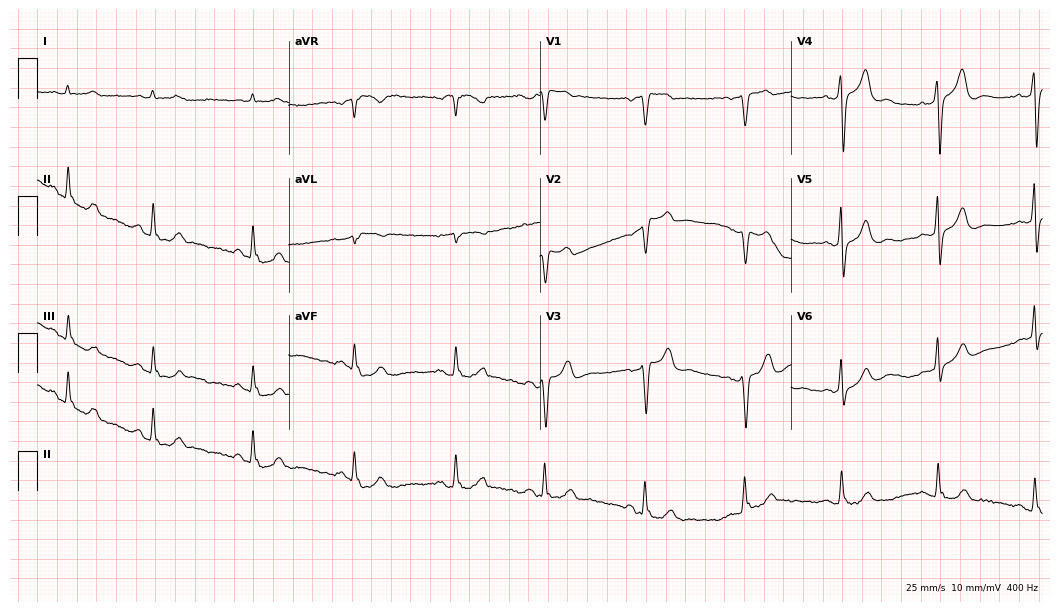
Electrocardiogram (10.2-second recording at 400 Hz), a man, 65 years old. Of the six screened findings (first-degree AV block, right bundle branch block, left bundle branch block, sinus bradycardia, atrial fibrillation, sinus tachycardia), none is recorded.